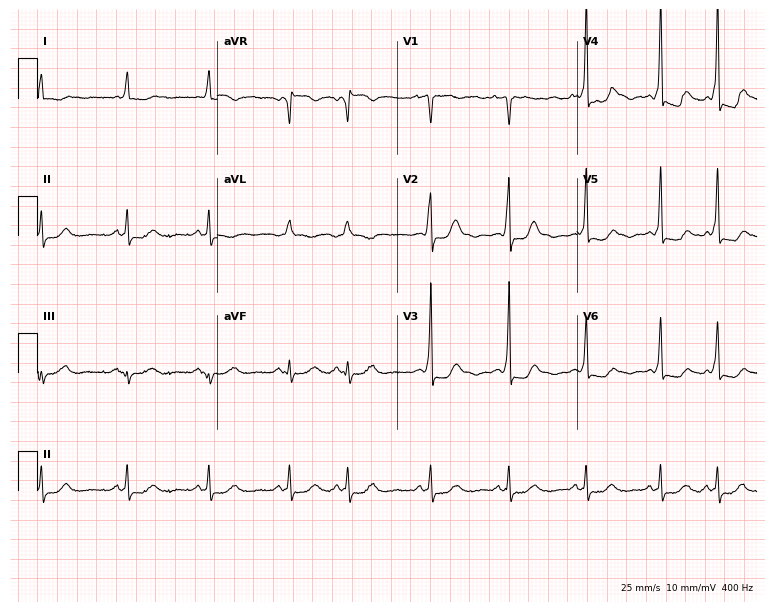
12-lead ECG from a 73-year-old female. Screened for six findings — first-degree AV block, right bundle branch block (RBBB), left bundle branch block (LBBB), sinus bradycardia, atrial fibrillation (AF), sinus tachycardia — none is recorded.